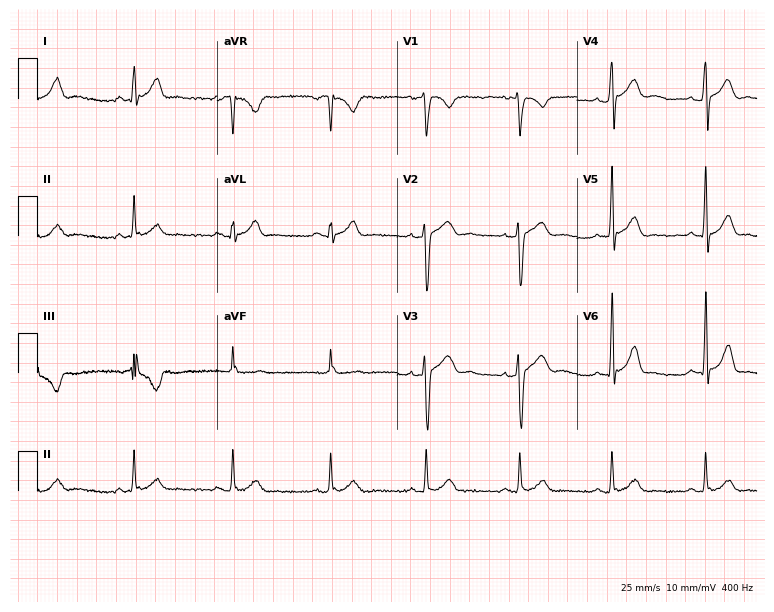
12-lead ECG from a male patient, 27 years old. No first-degree AV block, right bundle branch block, left bundle branch block, sinus bradycardia, atrial fibrillation or sinus tachycardia recorded for this tracing. Only these six findings were labelled.